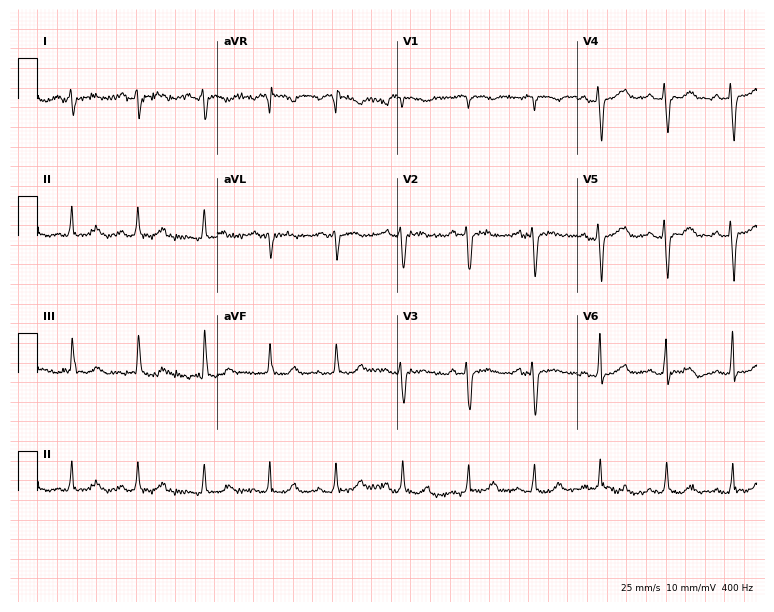
12-lead ECG (7.3-second recording at 400 Hz) from a woman, 64 years old. Labelled as a normal ECG.